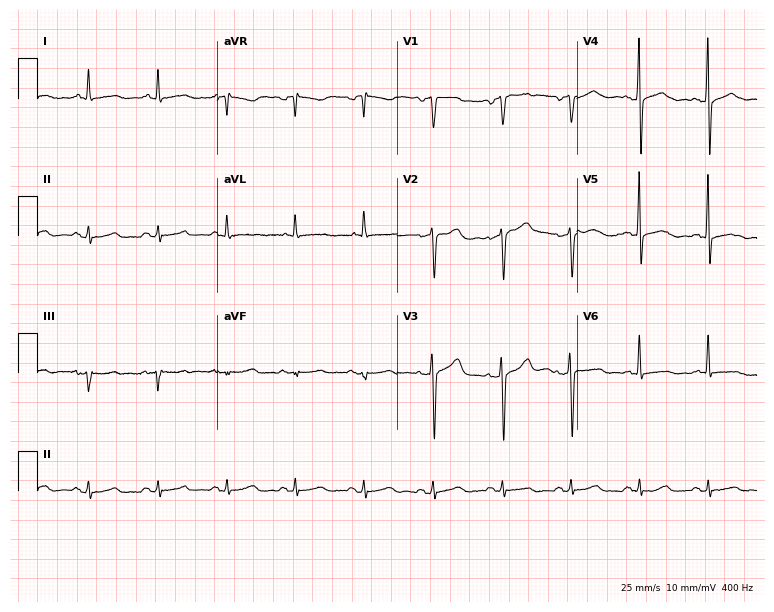
Resting 12-lead electrocardiogram. Patient: a 60-year-old male. None of these six findings is recorded: first-degree AV block, right bundle branch block (RBBB), left bundle branch block (LBBB), sinus bradycardia, atrial fibrillation (AF), sinus tachycardia. Findings outside these six are not listed.